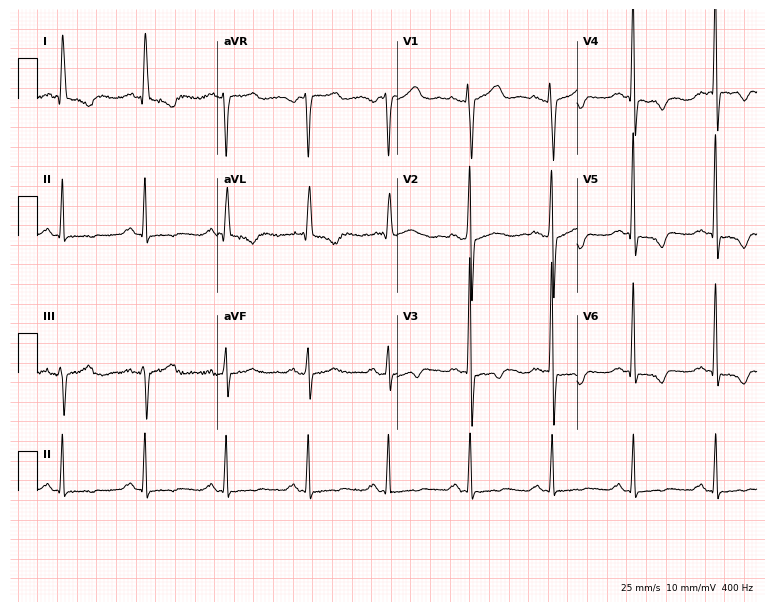
Electrocardiogram (7.3-second recording at 400 Hz), a woman, 88 years old. Of the six screened findings (first-degree AV block, right bundle branch block, left bundle branch block, sinus bradycardia, atrial fibrillation, sinus tachycardia), none is recorded. Other findings, if any, are not listed.